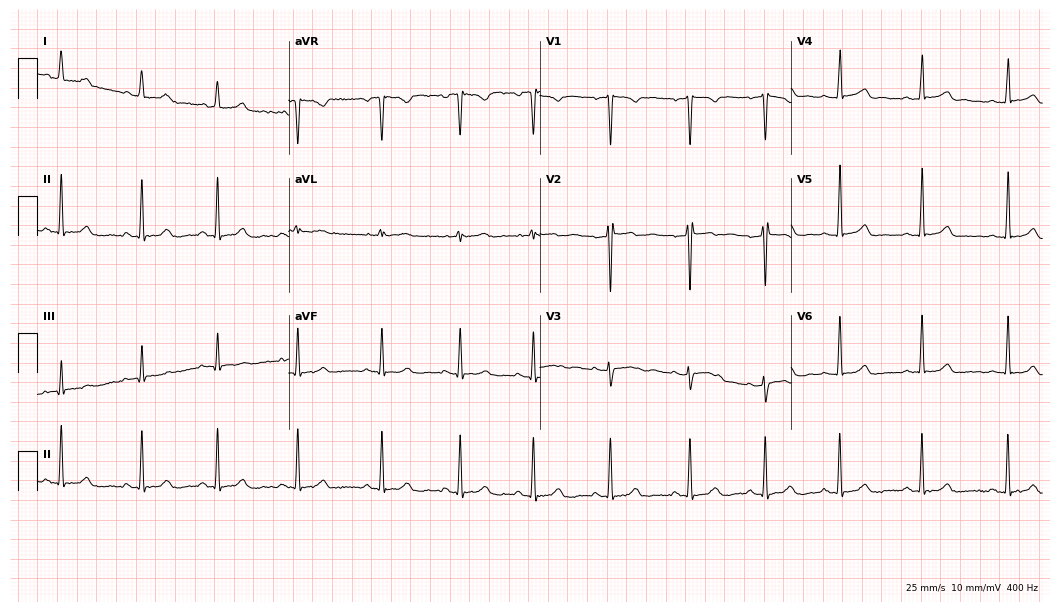
Resting 12-lead electrocardiogram (10.2-second recording at 400 Hz). Patient: a woman, 24 years old. Read as a normal ECG.